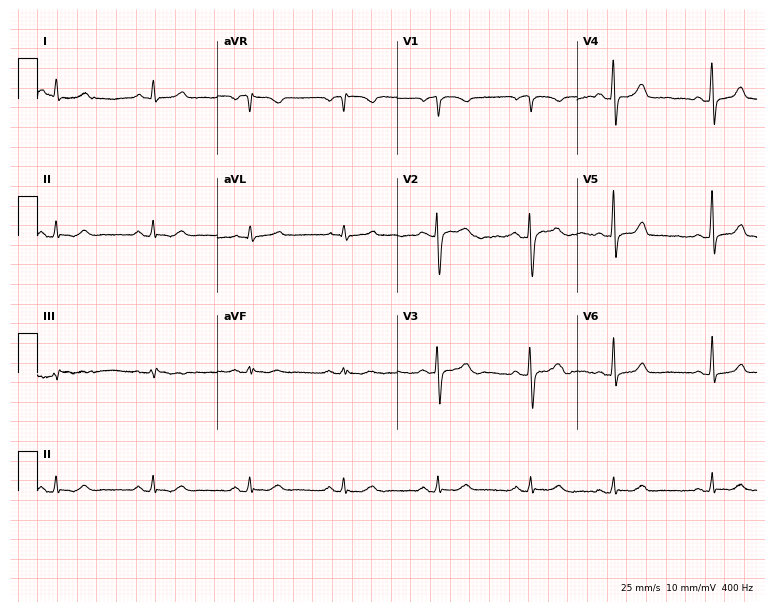
Electrocardiogram, a female, 58 years old. Of the six screened findings (first-degree AV block, right bundle branch block, left bundle branch block, sinus bradycardia, atrial fibrillation, sinus tachycardia), none is recorded. Only these six findings were labelled.